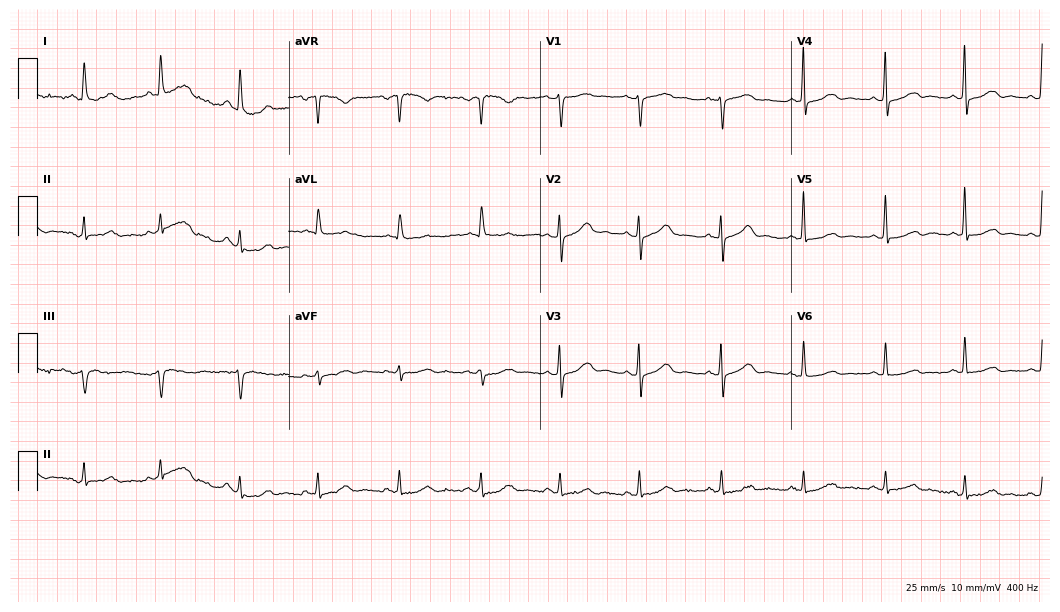
Electrocardiogram, a 63-year-old woman. Overall reading on record: normal ECG.